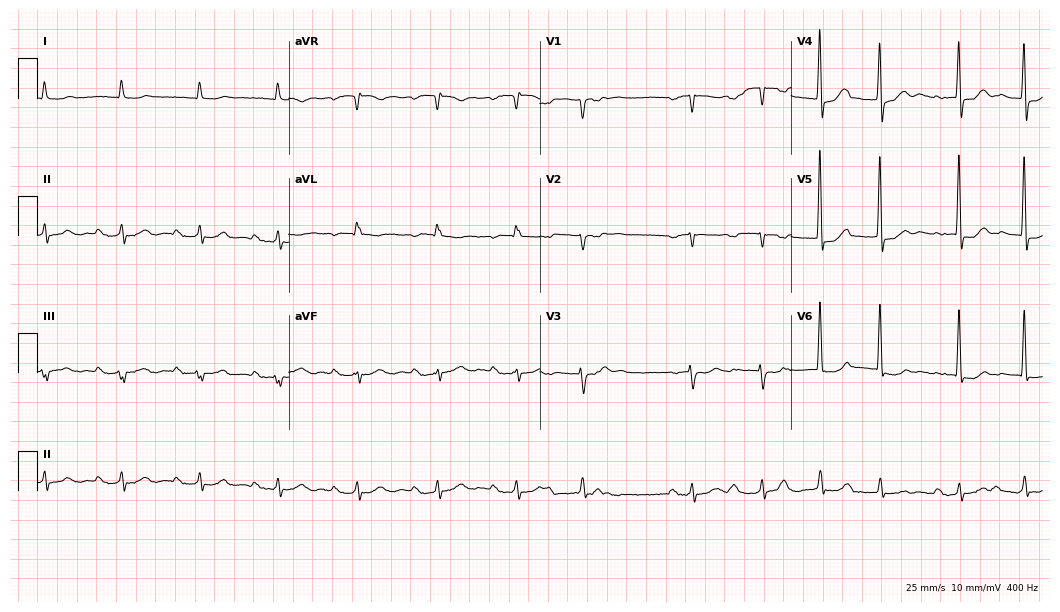
Electrocardiogram, a 75-year-old man. Interpretation includes first-degree AV block.